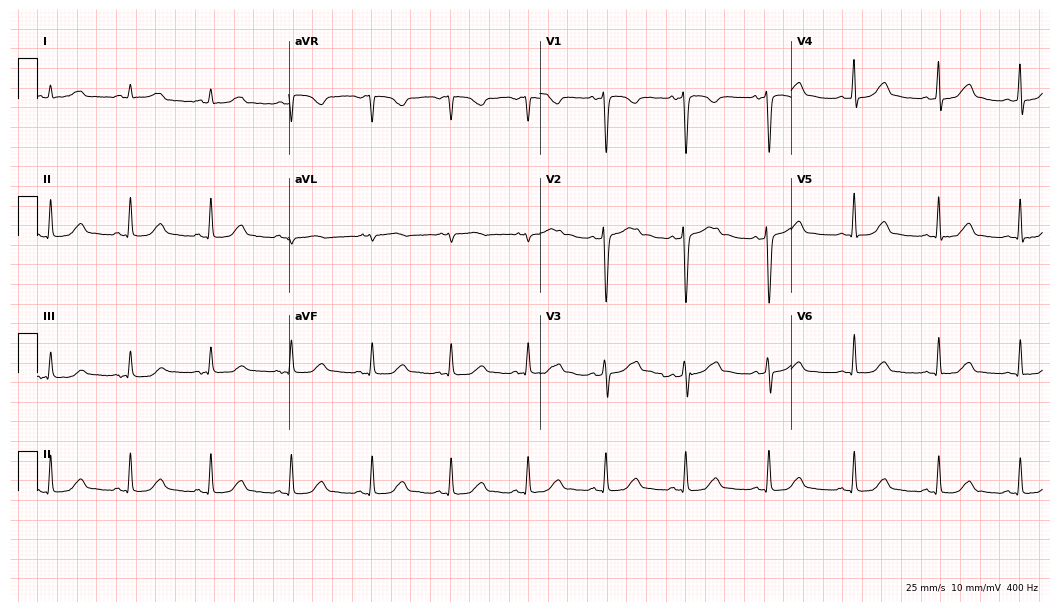
12-lead ECG from a 37-year-old woman. No first-degree AV block, right bundle branch block (RBBB), left bundle branch block (LBBB), sinus bradycardia, atrial fibrillation (AF) or sinus tachycardia recorded for this tracing. Other findings, if any, are not listed.